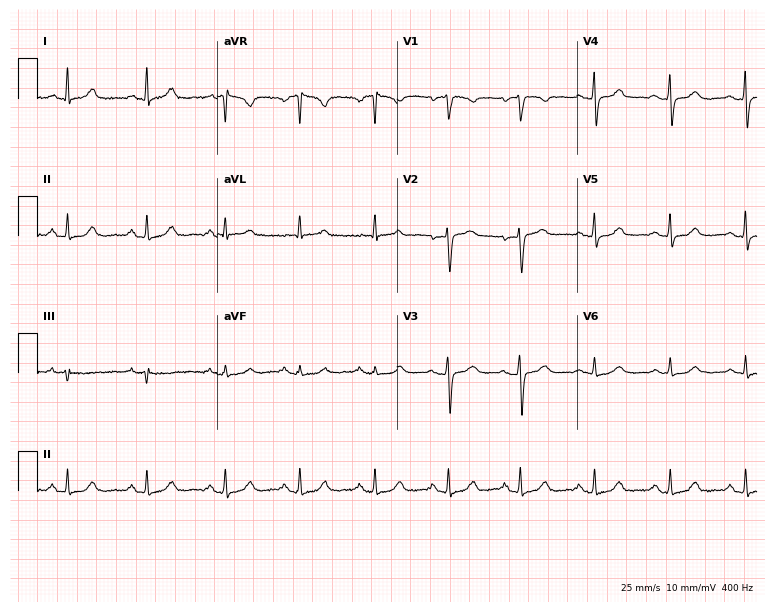
ECG (7.3-second recording at 400 Hz) — a woman, 51 years old. Labelled as a normal ECG.